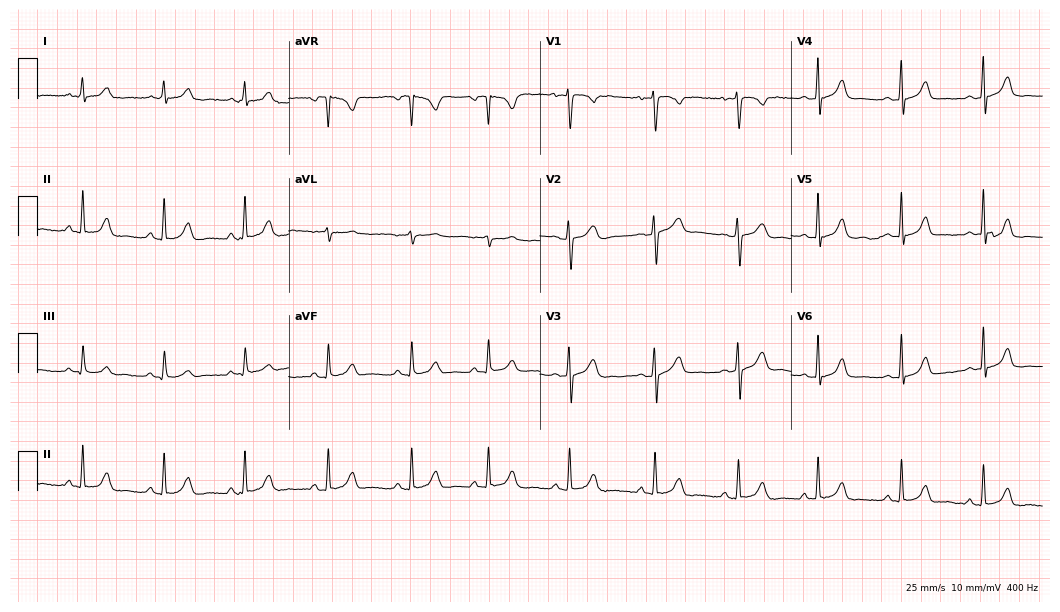
Electrocardiogram (10.2-second recording at 400 Hz), a 17-year-old female. Overall reading on record: normal ECG.